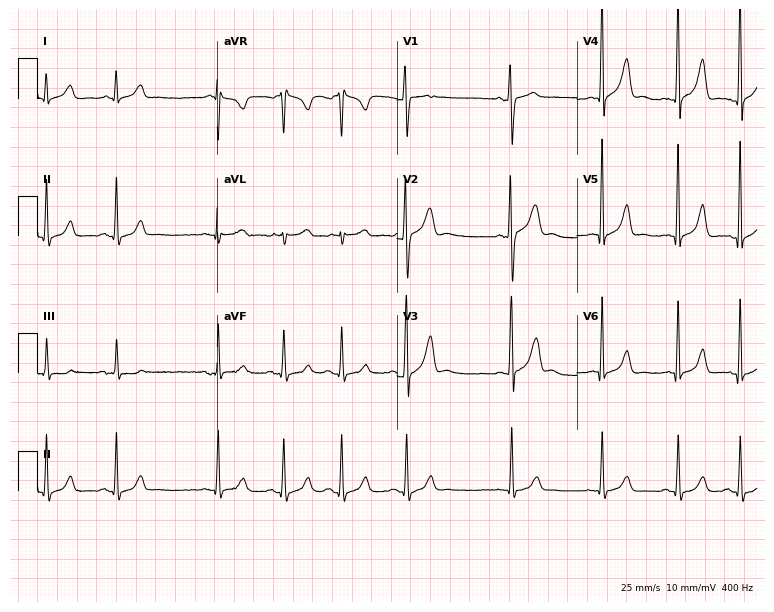
ECG (7.3-second recording at 400 Hz) — a male, 19 years old. Screened for six findings — first-degree AV block, right bundle branch block, left bundle branch block, sinus bradycardia, atrial fibrillation, sinus tachycardia — none is recorded.